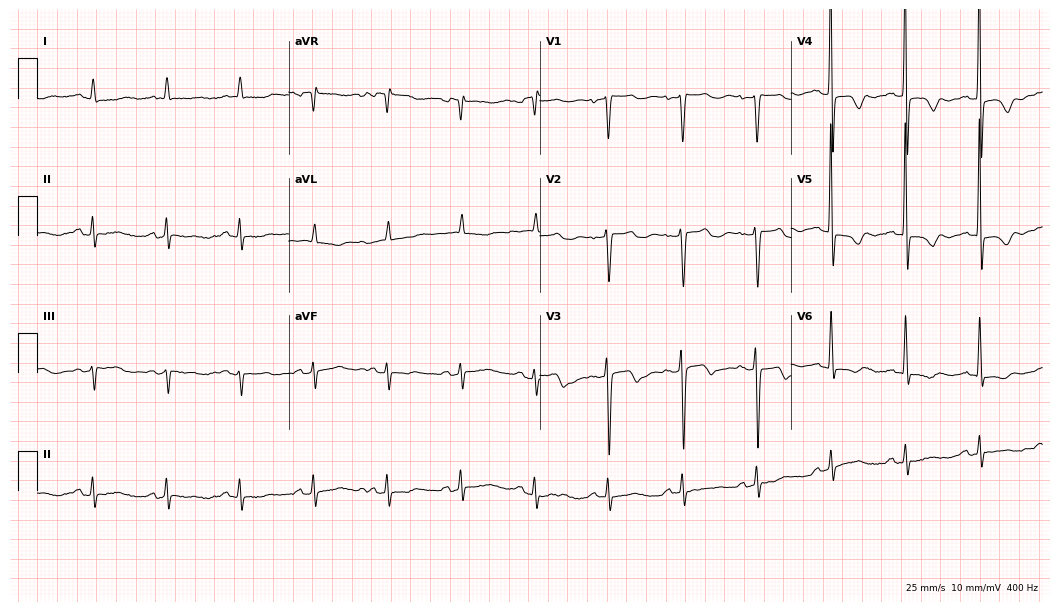
Electrocardiogram (10.2-second recording at 400 Hz), a woman, 78 years old. Of the six screened findings (first-degree AV block, right bundle branch block (RBBB), left bundle branch block (LBBB), sinus bradycardia, atrial fibrillation (AF), sinus tachycardia), none is recorded. Other findings, if any, are not listed.